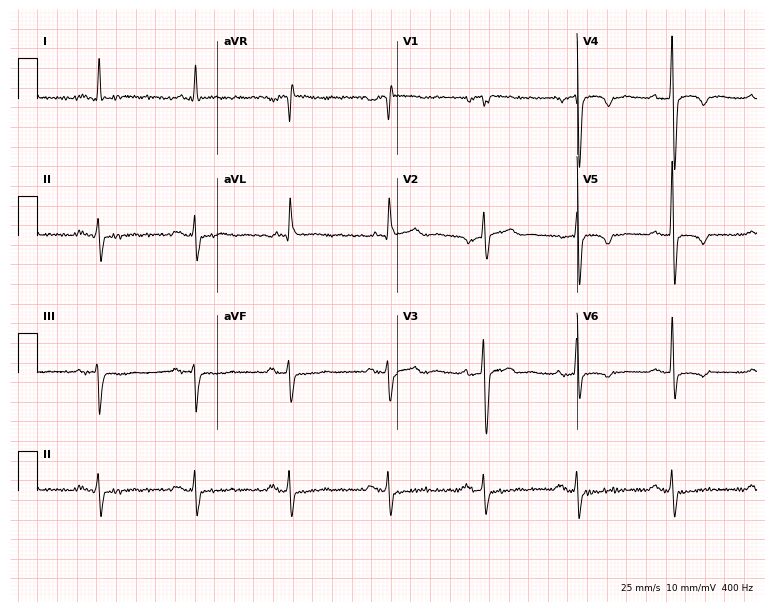
Standard 12-lead ECG recorded from a 72-year-old male patient (7.3-second recording at 400 Hz). Read as a normal ECG.